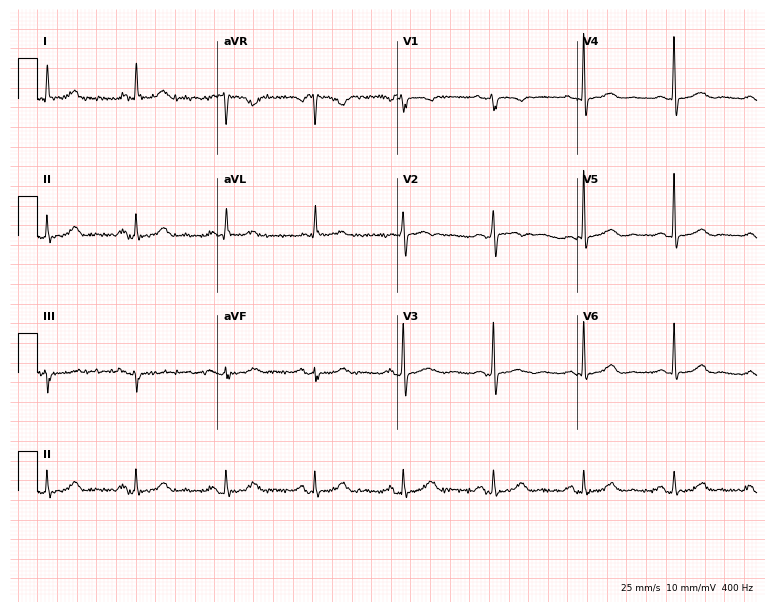
12-lead ECG from a female patient, 83 years old. Recorded interpretation: within normal limits.